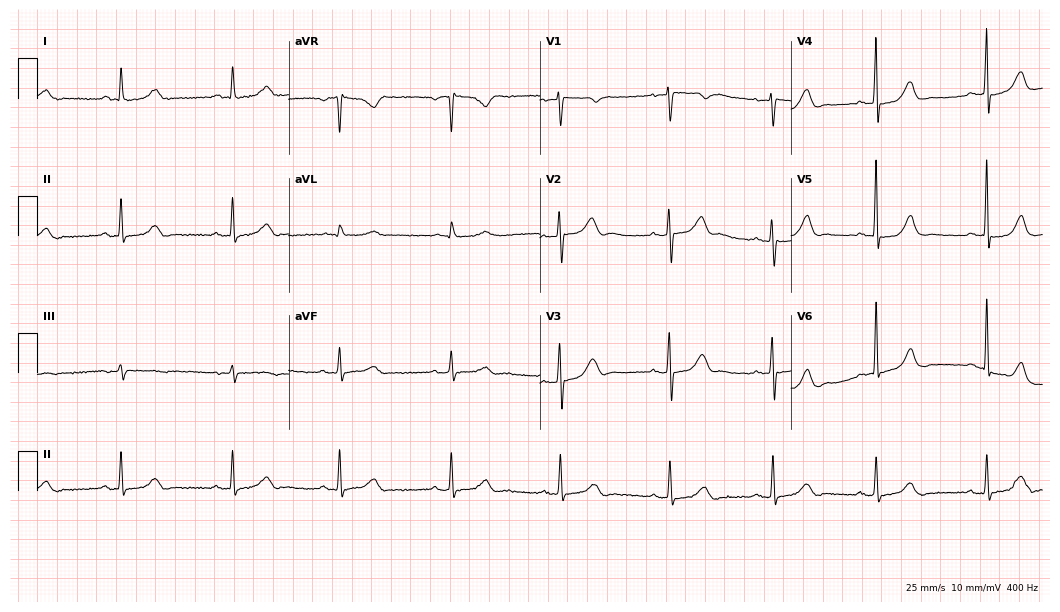
ECG (10.2-second recording at 400 Hz) — a 56-year-old female patient. Screened for six findings — first-degree AV block, right bundle branch block, left bundle branch block, sinus bradycardia, atrial fibrillation, sinus tachycardia — none is recorded. Other findings, if any, are not listed.